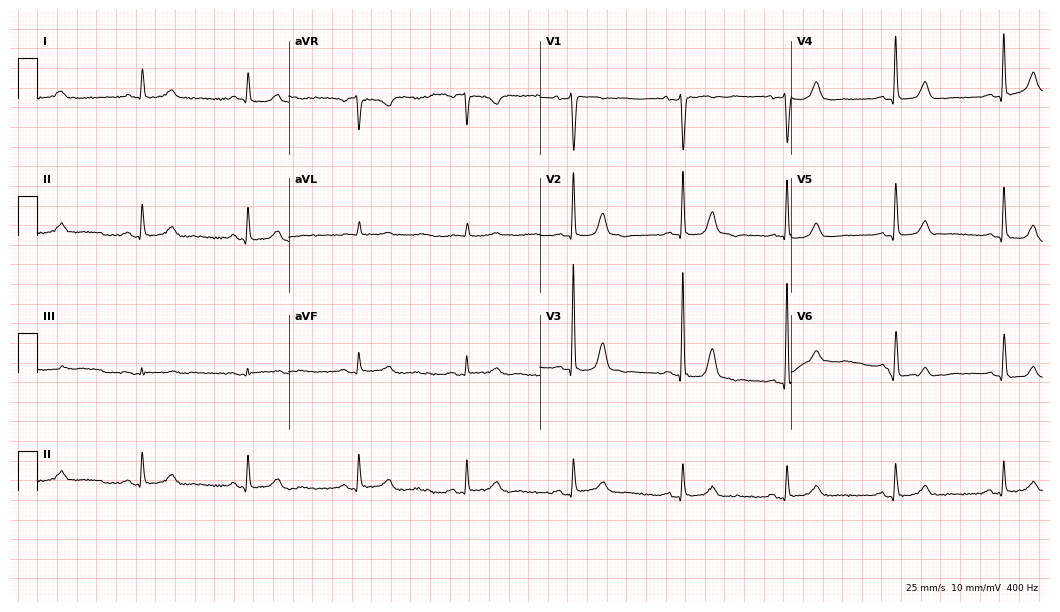
ECG — a 79-year-old female patient. Screened for six findings — first-degree AV block, right bundle branch block, left bundle branch block, sinus bradycardia, atrial fibrillation, sinus tachycardia — none is recorded.